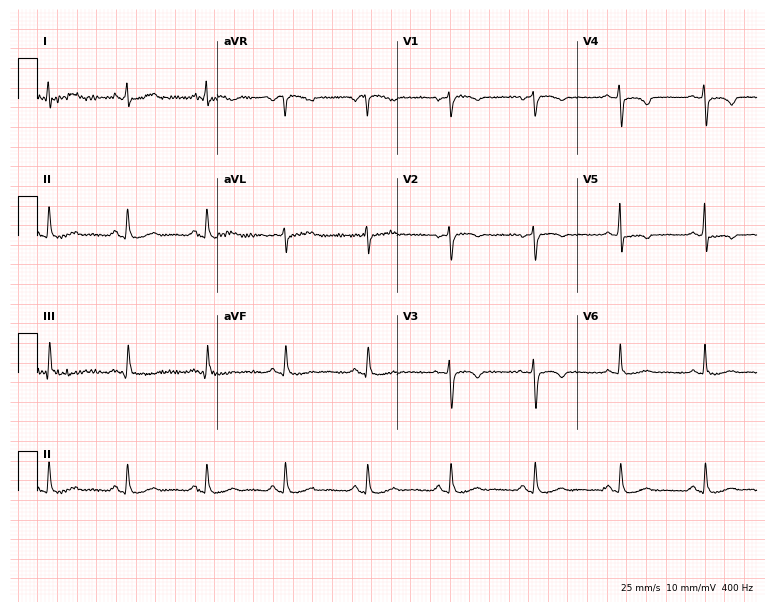
Resting 12-lead electrocardiogram. Patient: a female, 54 years old. None of these six findings is recorded: first-degree AV block, right bundle branch block, left bundle branch block, sinus bradycardia, atrial fibrillation, sinus tachycardia. Other findings, if any, are not listed.